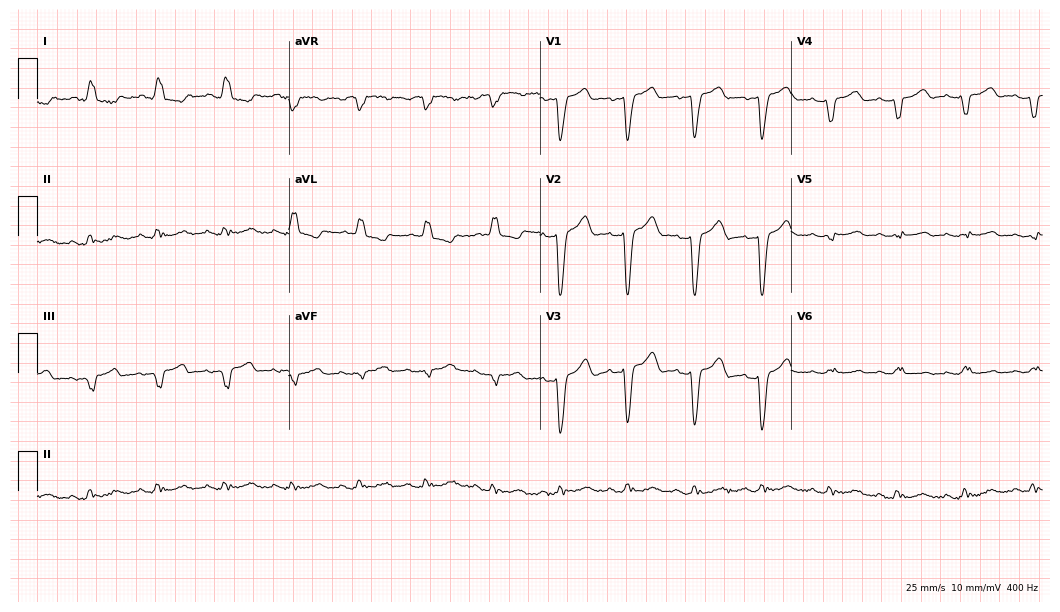
Resting 12-lead electrocardiogram (10.2-second recording at 400 Hz). Patient: a female, 71 years old. The tracing shows left bundle branch block.